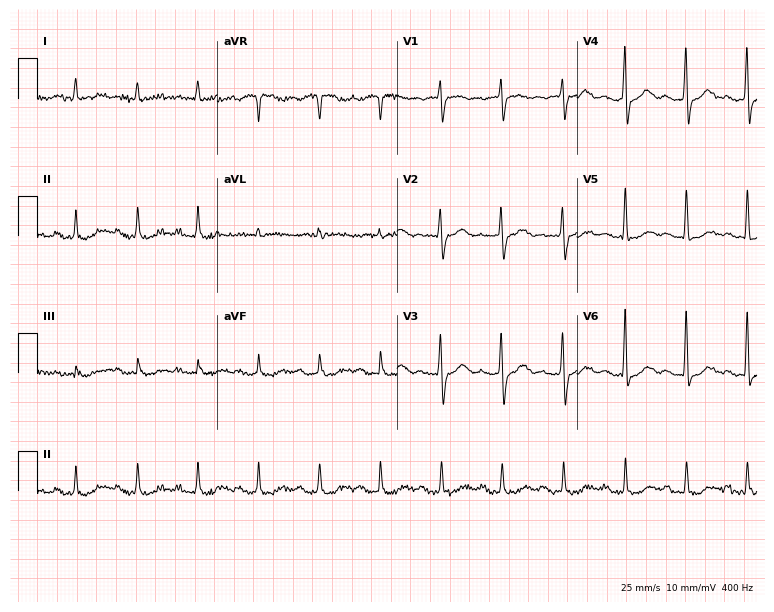
Electrocardiogram (7.3-second recording at 400 Hz), a 66-year-old female patient. Of the six screened findings (first-degree AV block, right bundle branch block, left bundle branch block, sinus bradycardia, atrial fibrillation, sinus tachycardia), none is recorded.